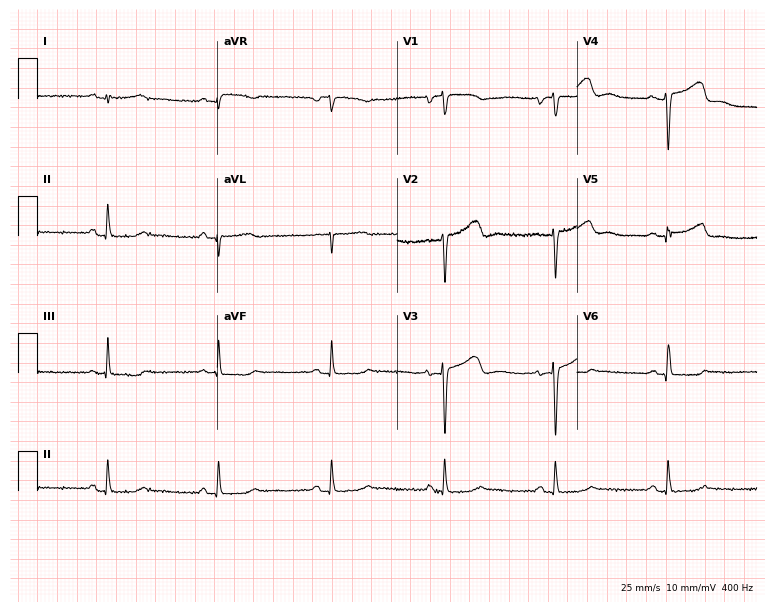
Resting 12-lead electrocardiogram (7.3-second recording at 400 Hz). Patient: a 58-year-old female. None of these six findings is recorded: first-degree AV block, right bundle branch block, left bundle branch block, sinus bradycardia, atrial fibrillation, sinus tachycardia.